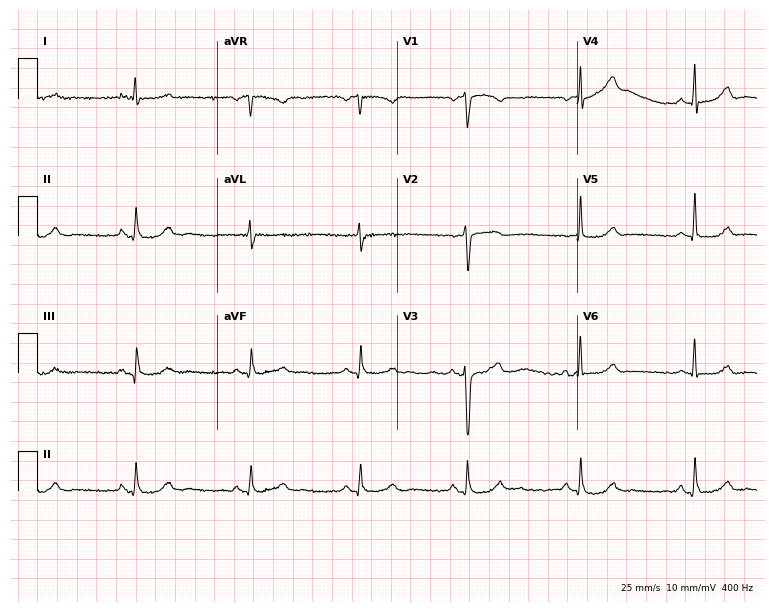
12-lead ECG (7.3-second recording at 400 Hz) from a female patient, 56 years old. Labelled as a normal ECG.